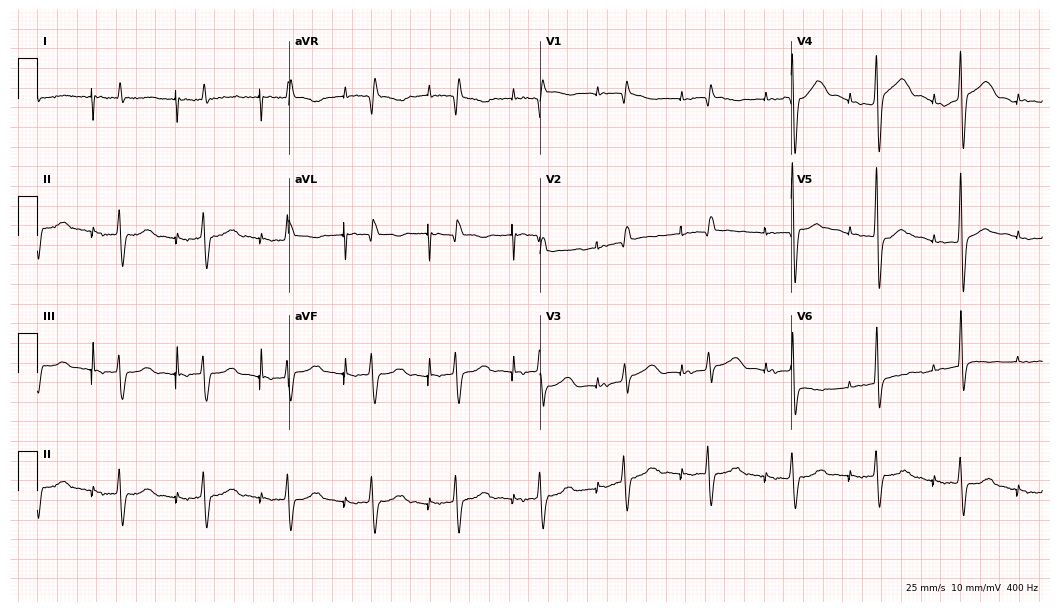
Standard 12-lead ECG recorded from a man, 80 years old. None of these six findings is recorded: first-degree AV block, right bundle branch block, left bundle branch block, sinus bradycardia, atrial fibrillation, sinus tachycardia. Only these six findings were labelled.